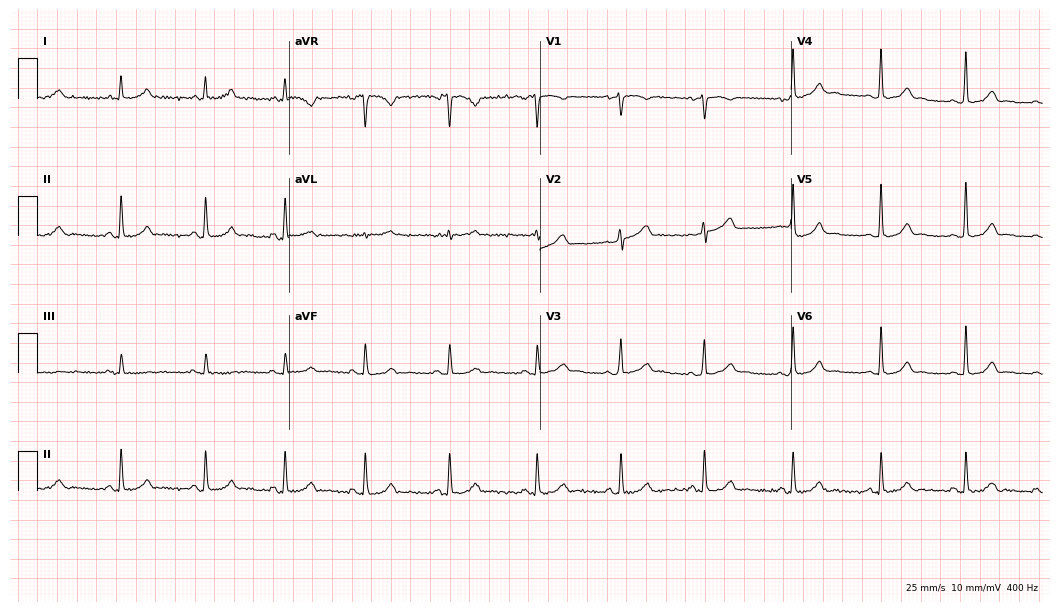
12-lead ECG from a female, 37 years old. Labelled as a normal ECG.